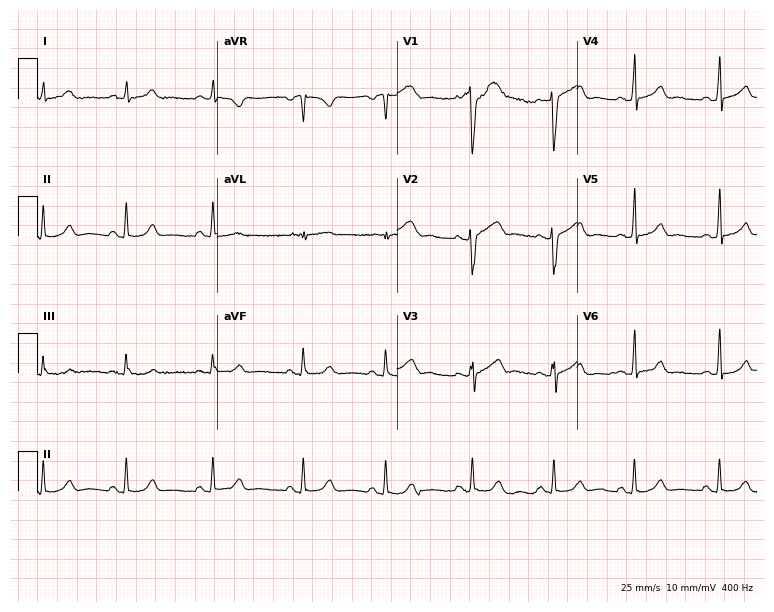
Electrocardiogram (7.3-second recording at 400 Hz), a 31-year-old female. Overall reading on record: normal ECG.